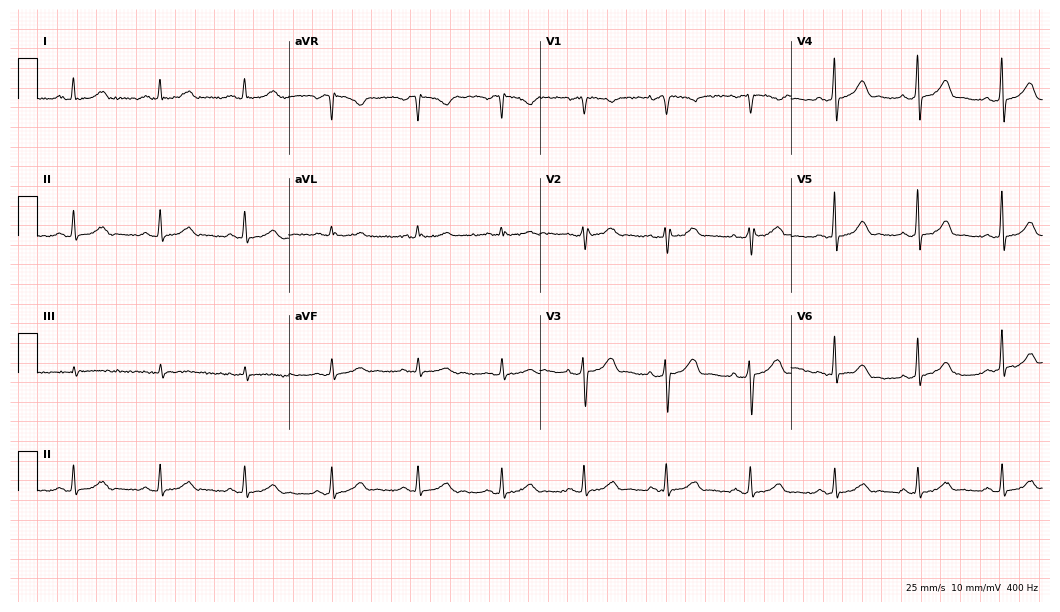
12-lead ECG from a female patient, 38 years old. Recorded interpretation: within normal limits.